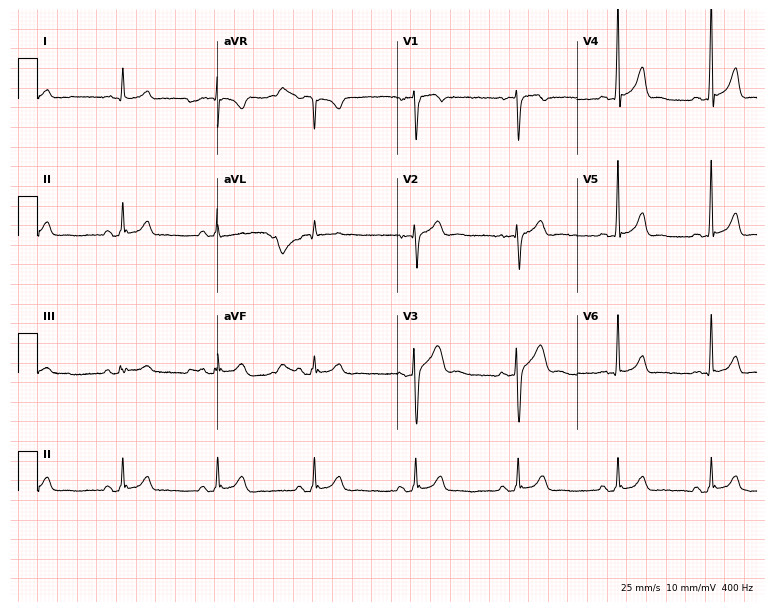
ECG — a 32-year-old male patient. Labelled as a normal ECG.